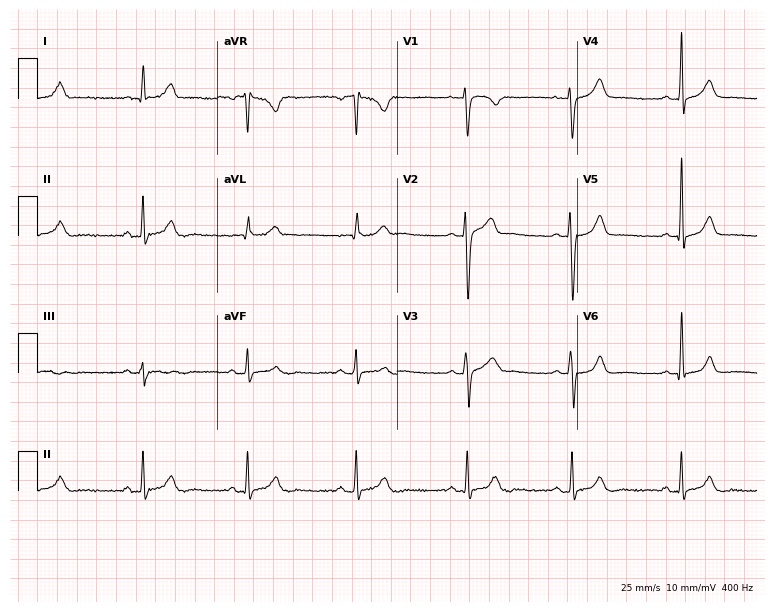
Standard 12-lead ECG recorded from a male patient, 34 years old (7.3-second recording at 400 Hz). Read as a normal ECG.